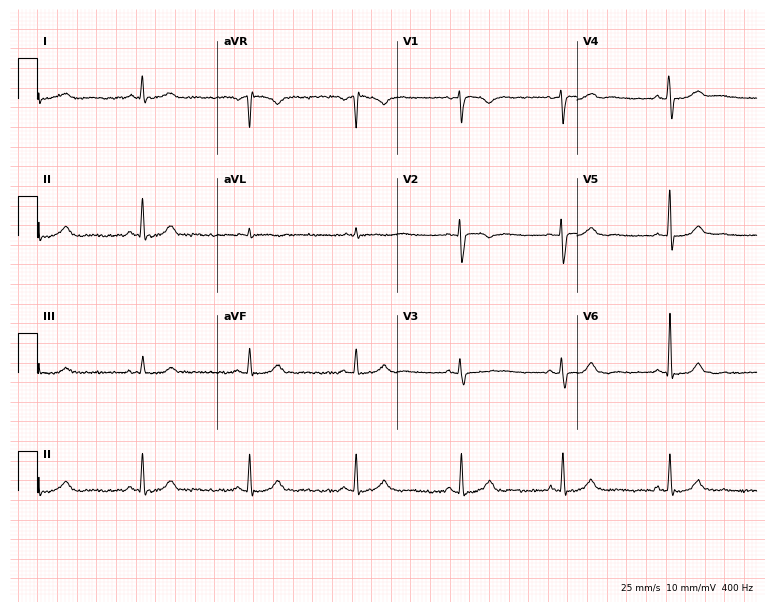
Electrocardiogram (7.3-second recording at 400 Hz), a woman, 41 years old. Overall reading on record: normal ECG.